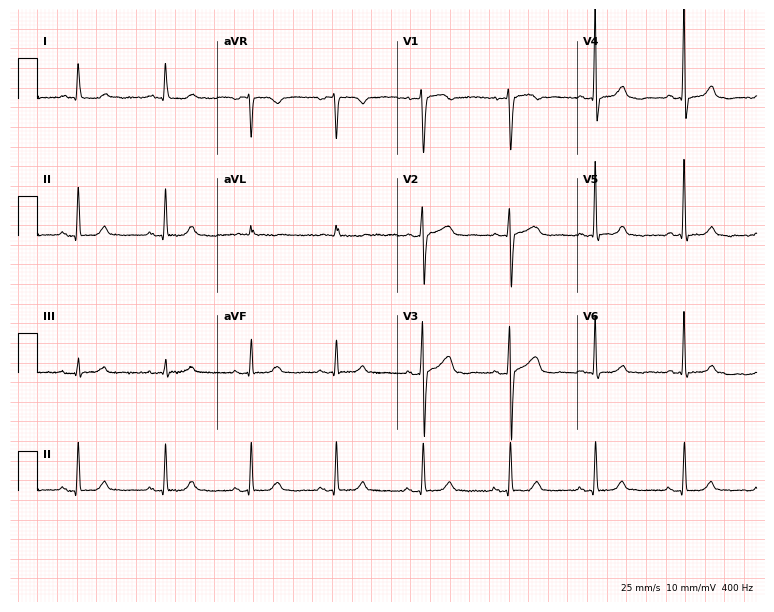
12-lead ECG (7.3-second recording at 400 Hz) from a female patient, 63 years old. Labelled as a normal ECG.